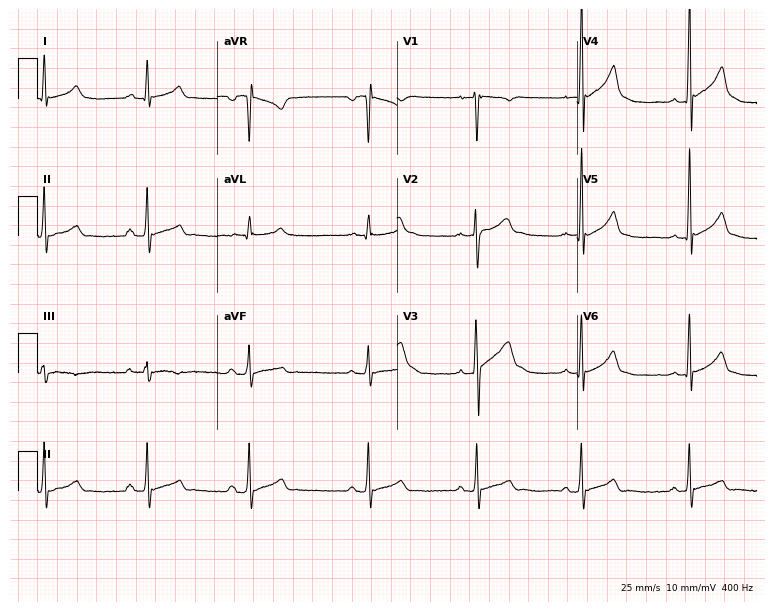
ECG (7.3-second recording at 400 Hz) — a 17-year-old male. Labelled as a normal ECG.